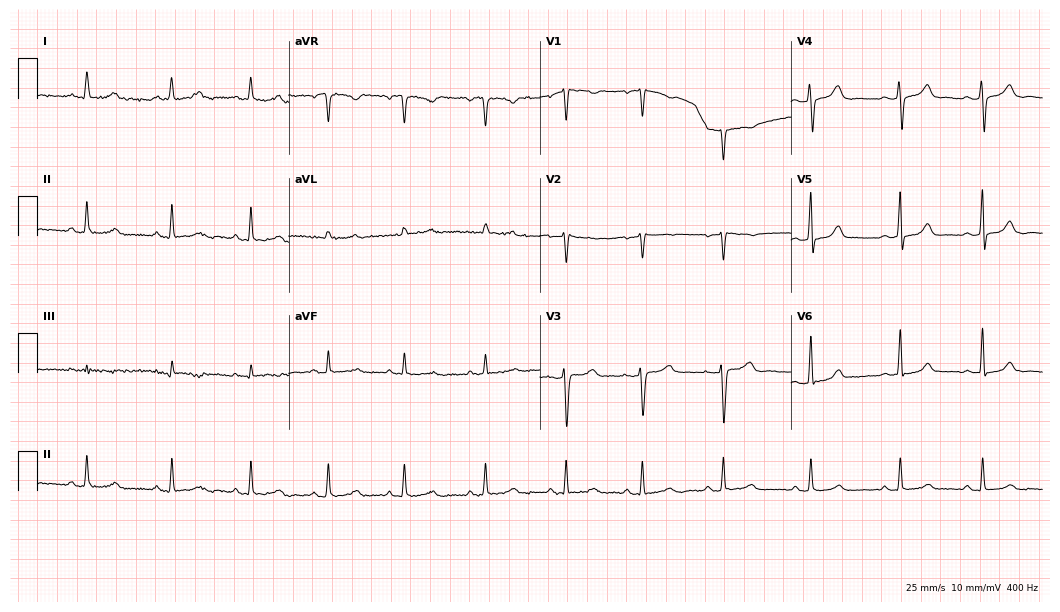
Resting 12-lead electrocardiogram. Patient: a 35-year-old female. Read as a normal ECG.